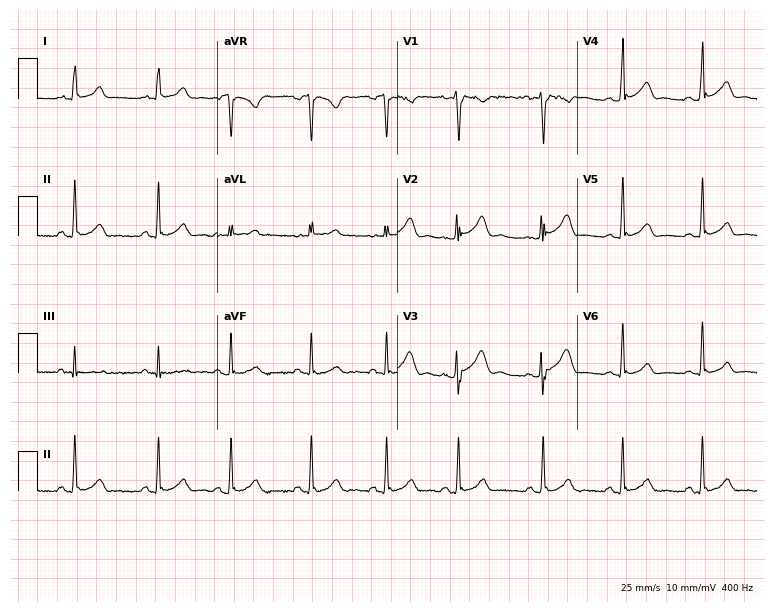
Resting 12-lead electrocardiogram (7.3-second recording at 400 Hz). Patient: a female, 21 years old. Read as a normal ECG.